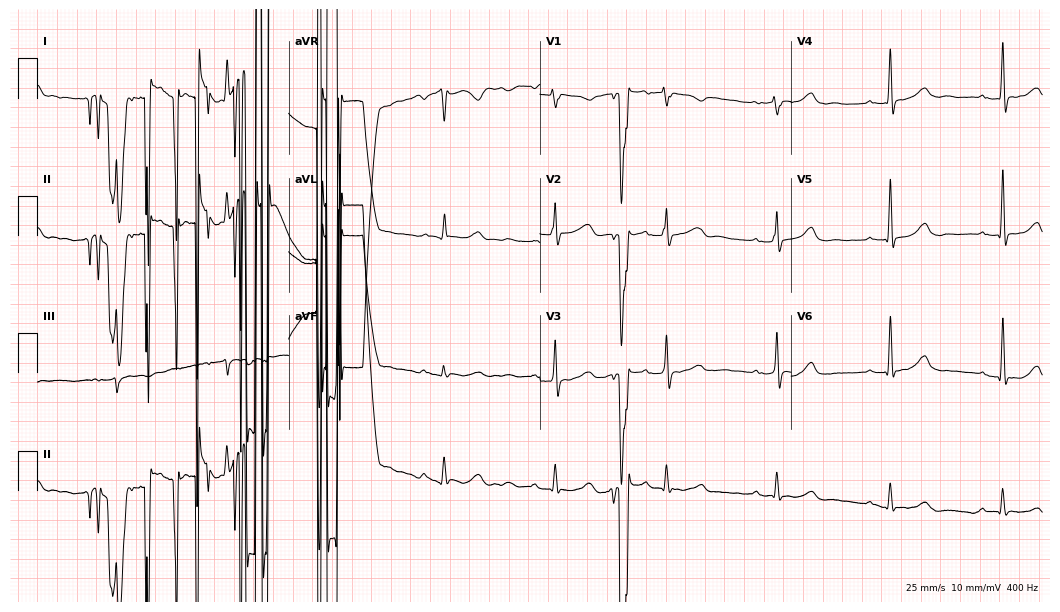
ECG (10.2-second recording at 400 Hz) — a 78-year-old woman. Screened for six findings — first-degree AV block, right bundle branch block, left bundle branch block, sinus bradycardia, atrial fibrillation, sinus tachycardia — none is recorded.